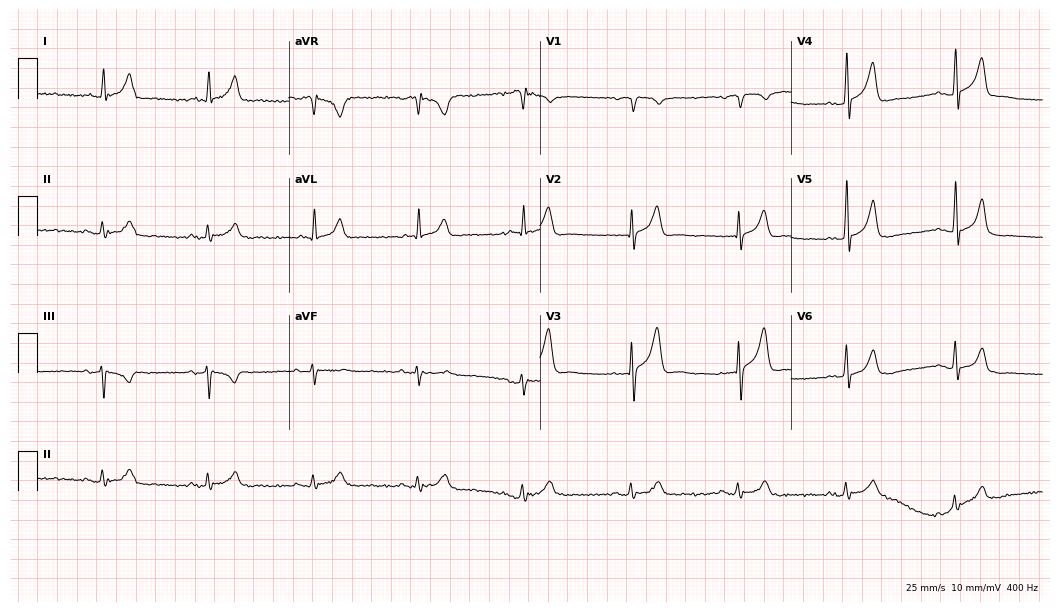
Standard 12-lead ECG recorded from a male patient, 69 years old. None of these six findings is recorded: first-degree AV block, right bundle branch block, left bundle branch block, sinus bradycardia, atrial fibrillation, sinus tachycardia. Only these six findings were labelled.